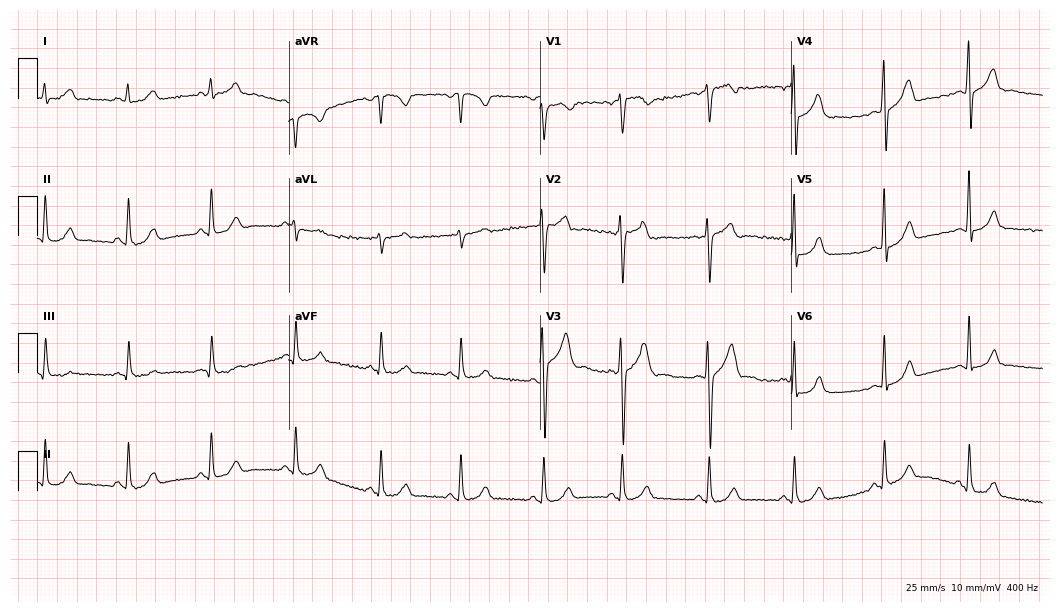
ECG — a 31-year-old male. Labelled as a normal ECG.